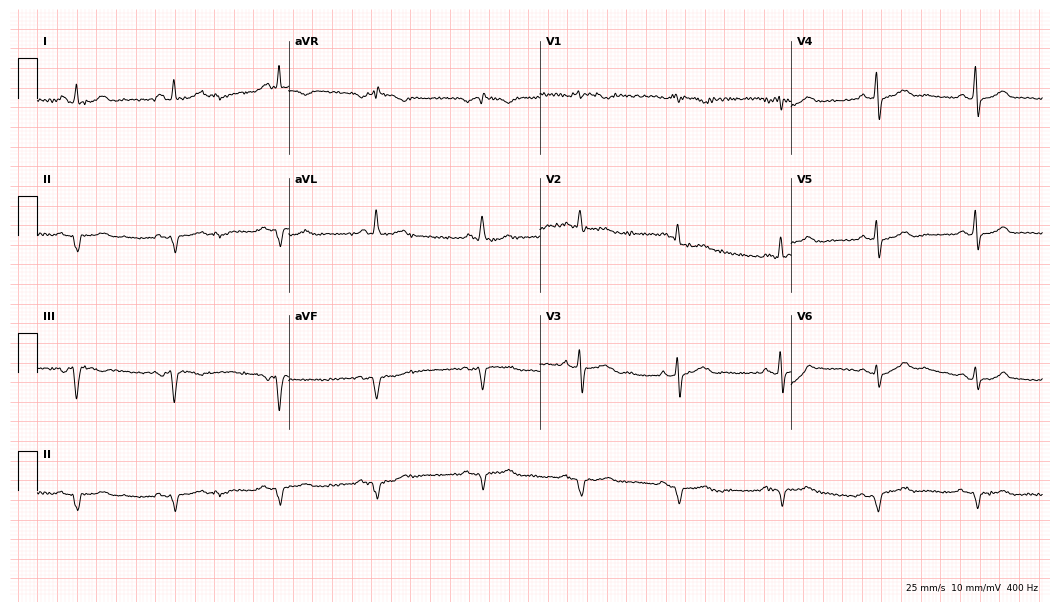
Electrocardiogram (10.2-second recording at 400 Hz), a 79-year-old male. Of the six screened findings (first-degree AV block, right bundle branch block, left bundle branch block, sinus bradycardia, atrial fibrillation, sinus tachycardia), none is recorded.